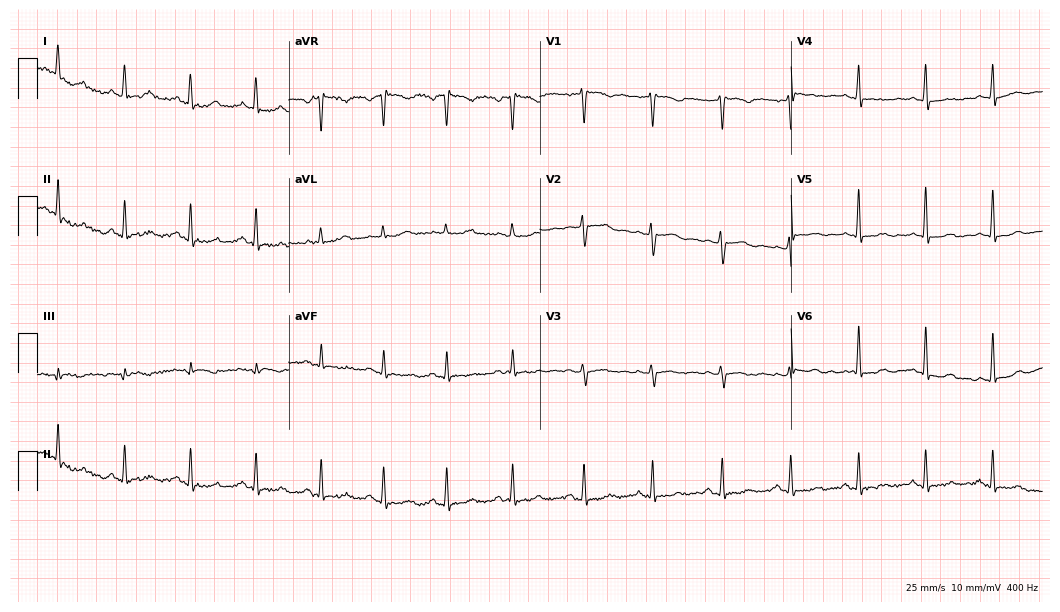
Resting 12-lead electrocardiogram (10.2-second recording at 400 Hz). Patient: a 42-year-old female. Read as a normal ECG.